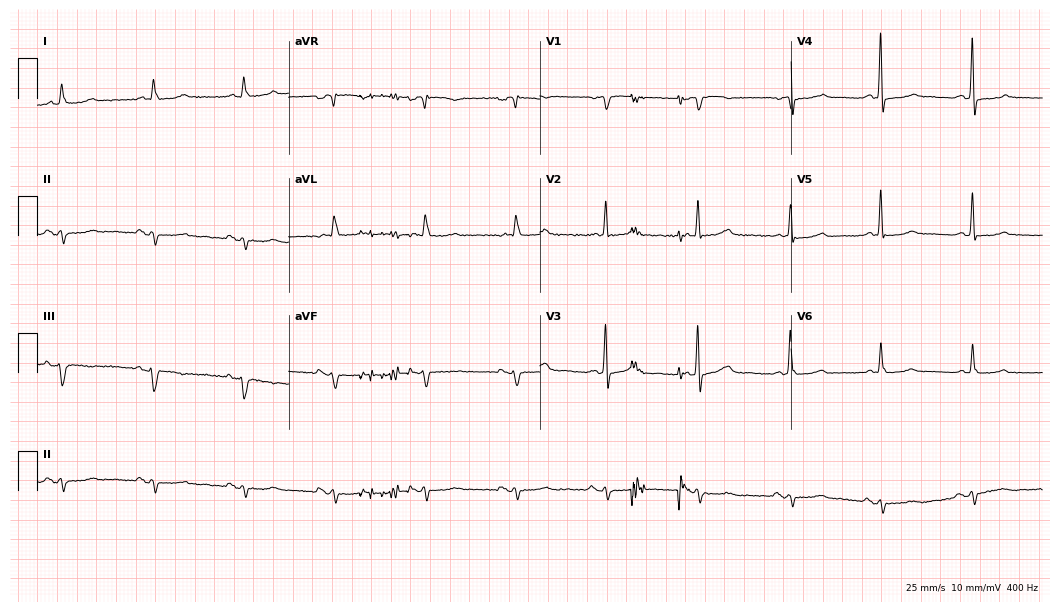
12-lead ECG (10.2-second recording at 400 Hz) from a woman, 65 years old. Screened for six findings — first-degree AV block, right bundle branch block, left bundle branch block, sinus bradycardia, atrial fibrillation, sinus tachycardia — none is recorded.